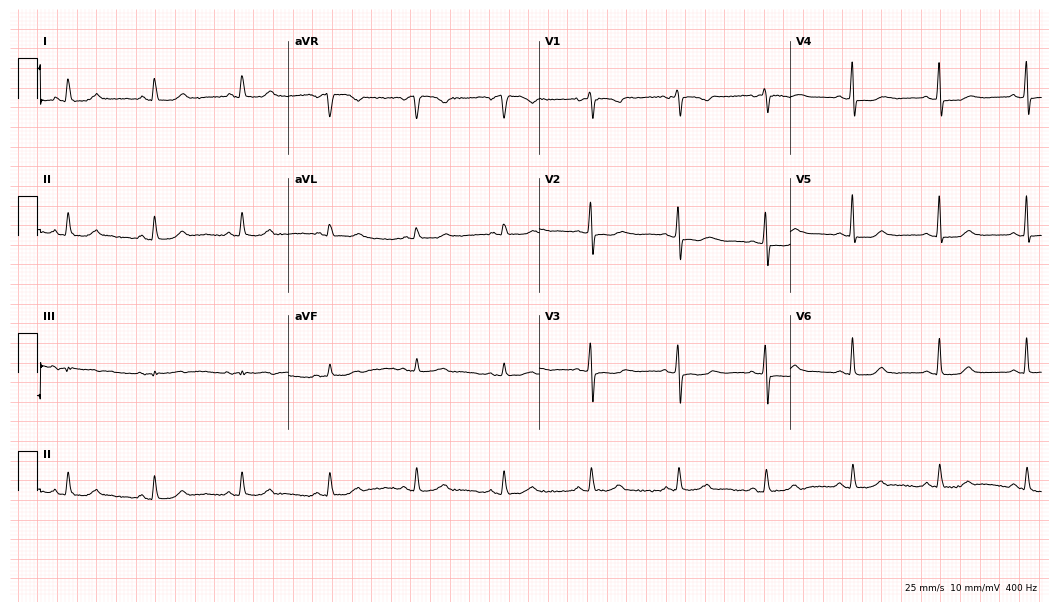
Electrocardiogram, a 63-year-old woman. Of the six screened findings (first-degree AV block, right bundle branch block, left bundle branch block, sinus bradycardia, atrial fibrillation, sinus tachycardia), none is recorded.